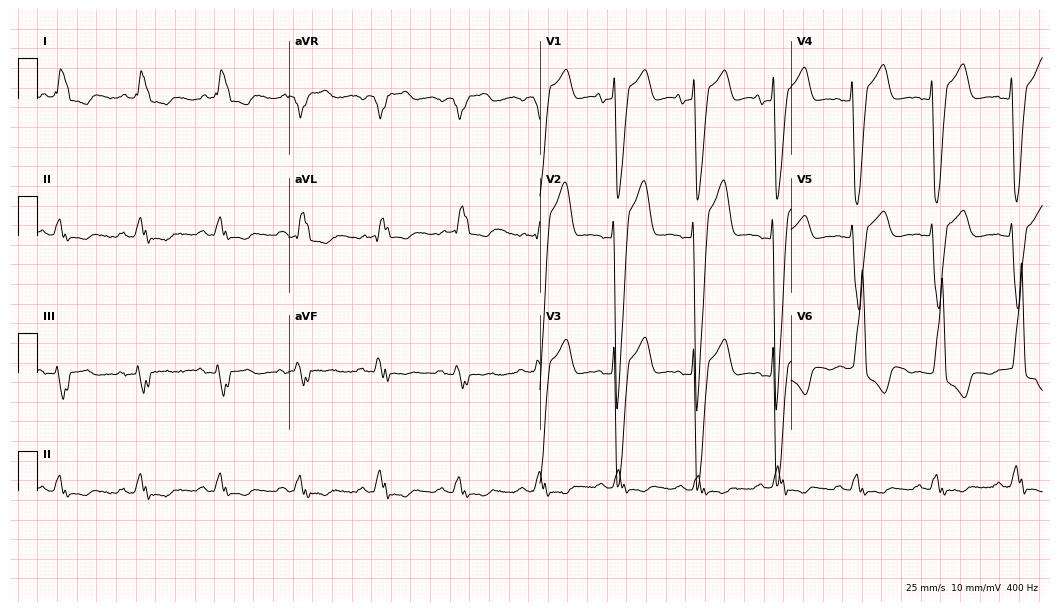
Electrocardiogram (10.2-second recording at 400 Hz), a woman, 80 years old. Interpretation includes left bundle branch block.